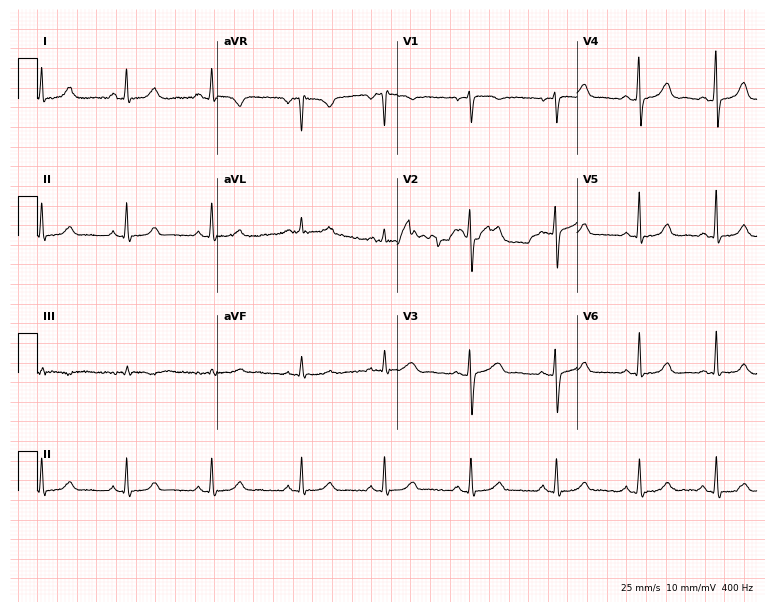
Standard 12-lead ECG recorded from a 21-year-old female patient (7.3-second recording at 400 Hz). None of these six findings is recorded: first-degree AV block, right bundle branch block, left bundle branch block, sinus bradycardia, atrial fibrillation, sinus tachycardia. Findings outside these six are not listed.